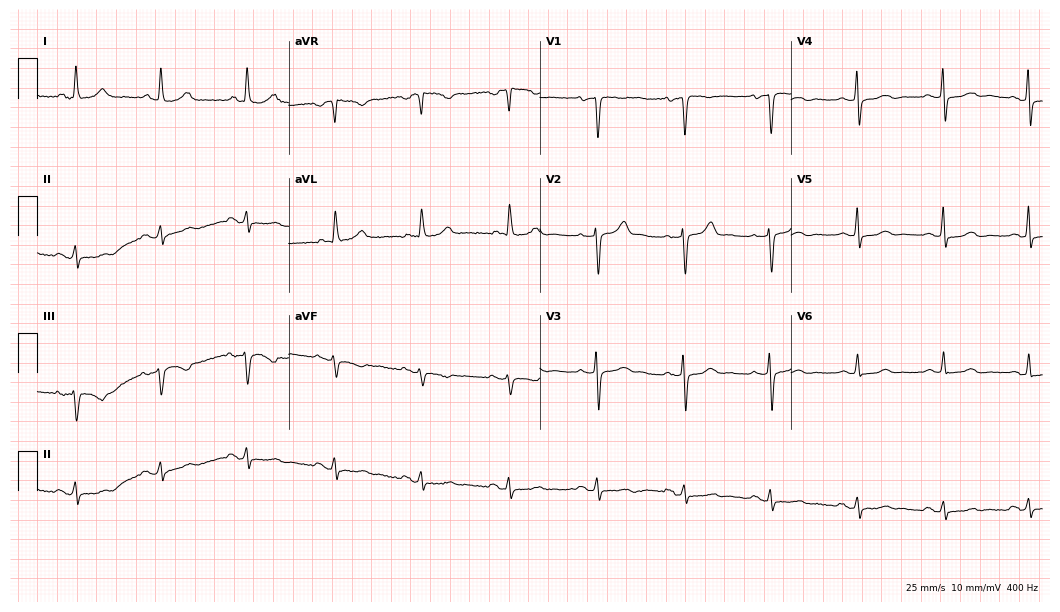
ECG — a female, 69 years old. Labelled as a normal ECG.